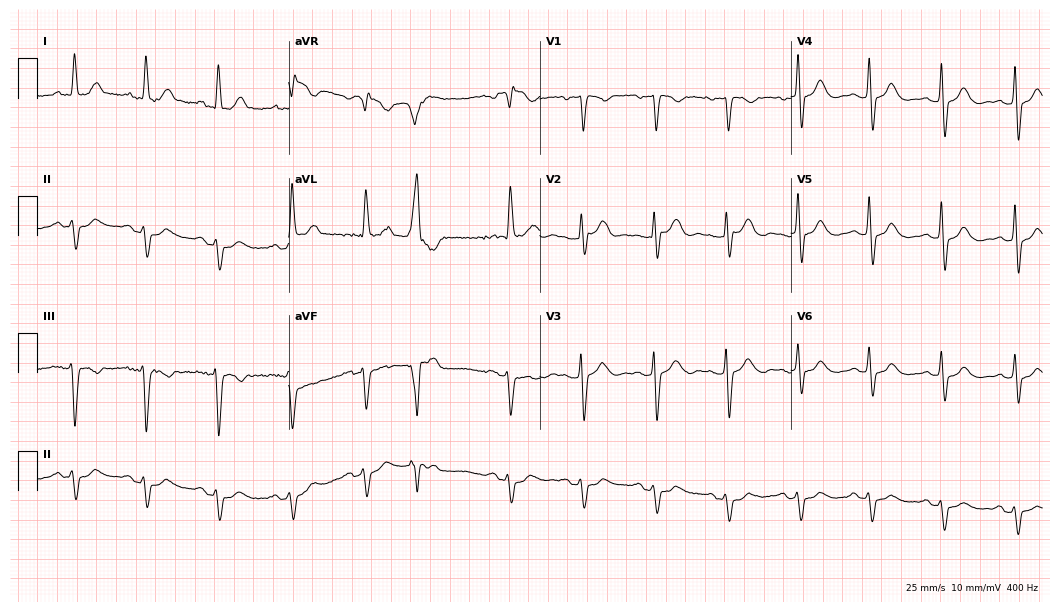
12-lead ECG from a male patient, 85 years old. No first-degree AV block, right bundle branch block, left bundle branch block, sinus bradycardia, atrial fibrillation or sinus tachycardia recorded for this tracing. Only these six findings were labelled.